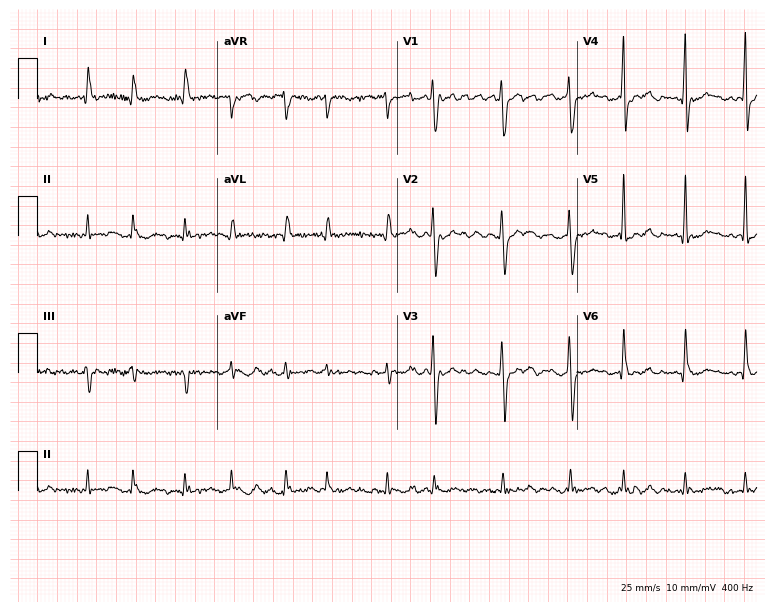
Resting 12-lead electrocardiogram. Patient: a female, 79 years old. The tracing shows atrial fibrillation.